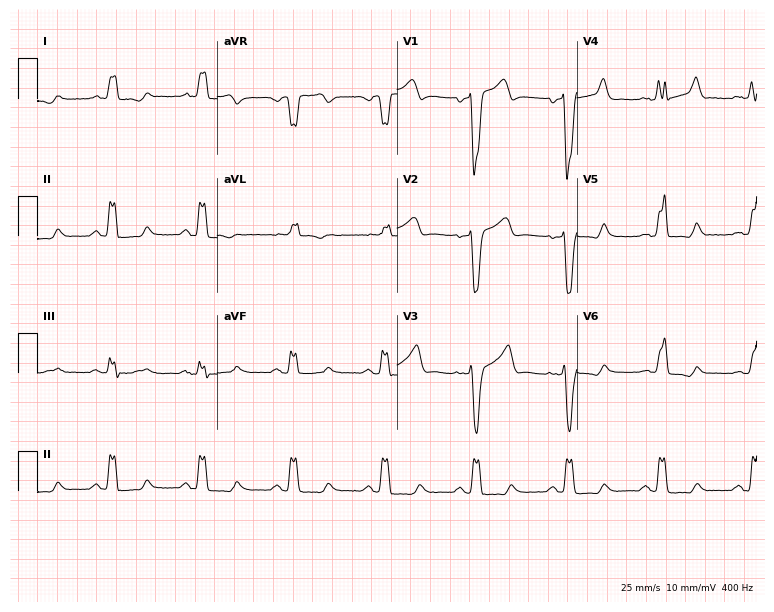
12-lead ECG from a man, 71 years old (7.3-second recording at 400 Hz). Shows left bundle branch block.